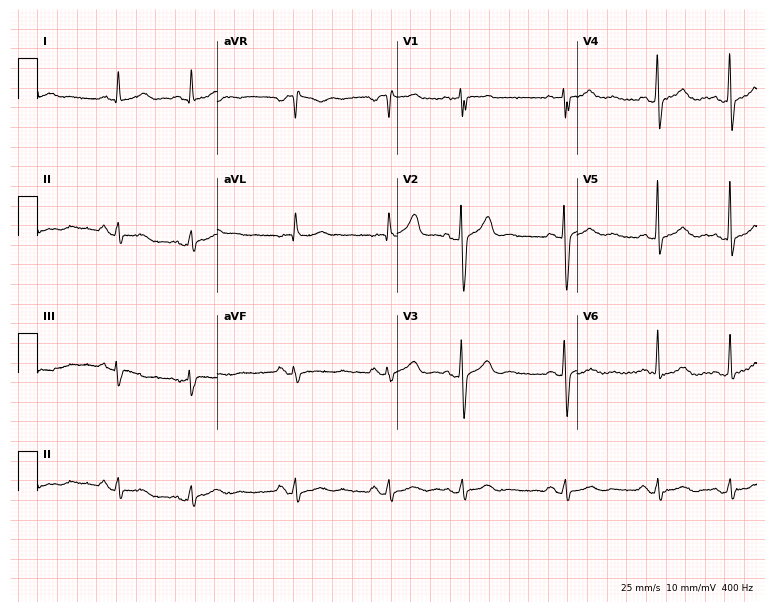
12-lead ECG (7.3-second recording at 400 Hz) from a 59-year-old woman. Screened for six findings — first-degree AV block, right bundle branch block, left bundle branch block, sinus bradycardia, atrial fibrillation, sinus tachycardia — none is recorded.